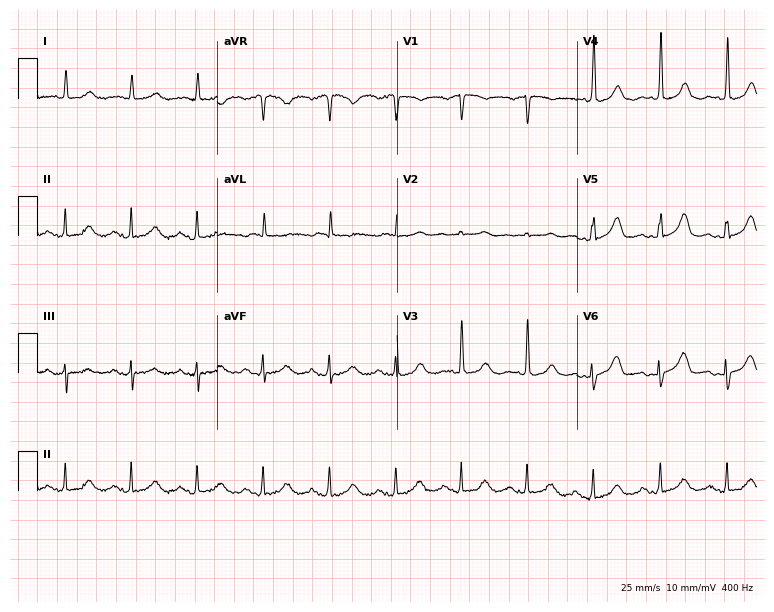
Resting 12-lead electrocardiogram (7.3-second recording at 400 Hz). Patient: a female, 84 years old. Read as a normal ECG.